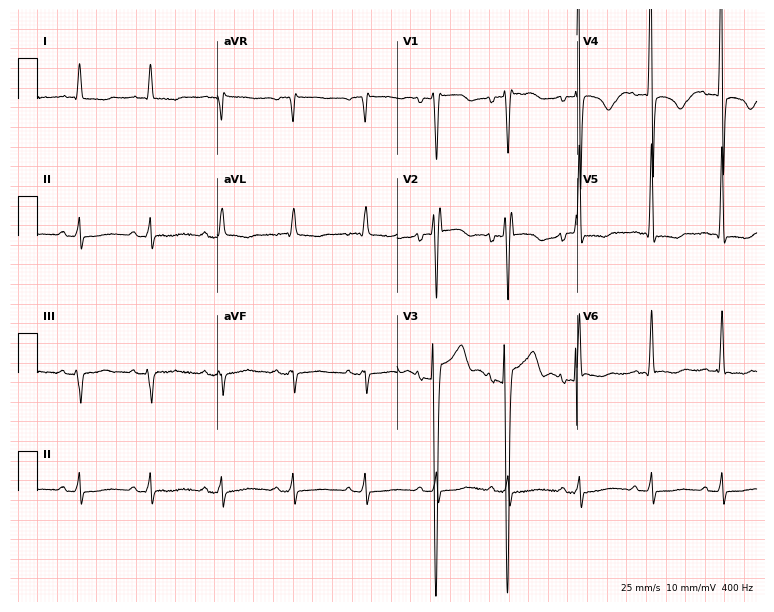
Resting 12-lead electrocardiogram. Patient: a female, 64 years old. None of these six findings is recorded: first-degree AV block, right bundle branch block (RBBB), left bundle branch block (LBBB), sinus bradycardia, atrial fibrillation (AF), sinus tachycardia. Findings outside these six are not listed.